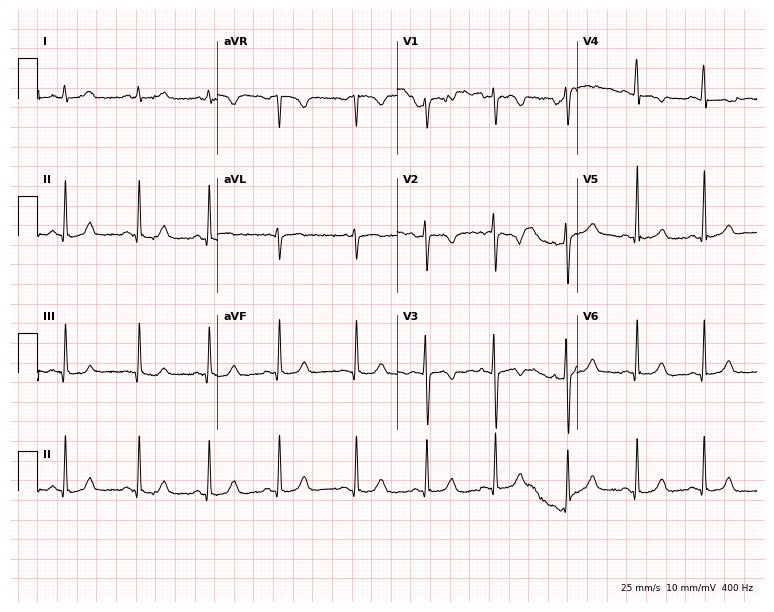
Electrocardiogram (7.3-second recording at 400 Hz), a 23-year-old female. Of the six screened findings (first-degree AV block, right bundle branch block, left bundle branch block, sinus bradycardia, atrial fibrillation, sinus tachycardia), none is recorded.